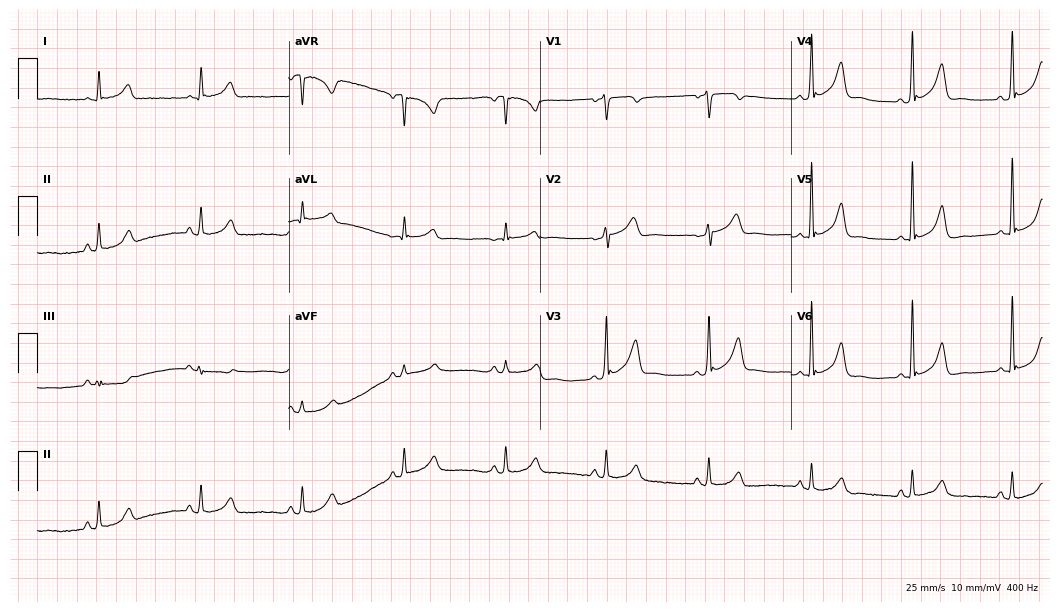
ECG (10.2-second recording at 400 Hz) — a 66-year-old man. Labelled as a normal ECG.